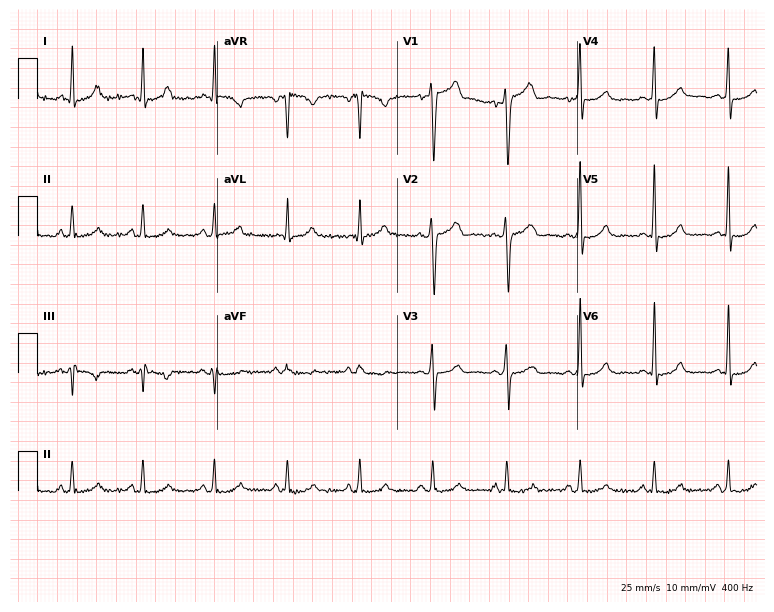
12-lead ECG from a 54-year-old male patient (7.3-second recording at 400 Hz). No first-degree AV block, right bundle branch block, left bundle branch block, sinus bradycardia, atrial fibrillation or sinus tachycardia recorded for this tracing. Findings outside these six are not listed.